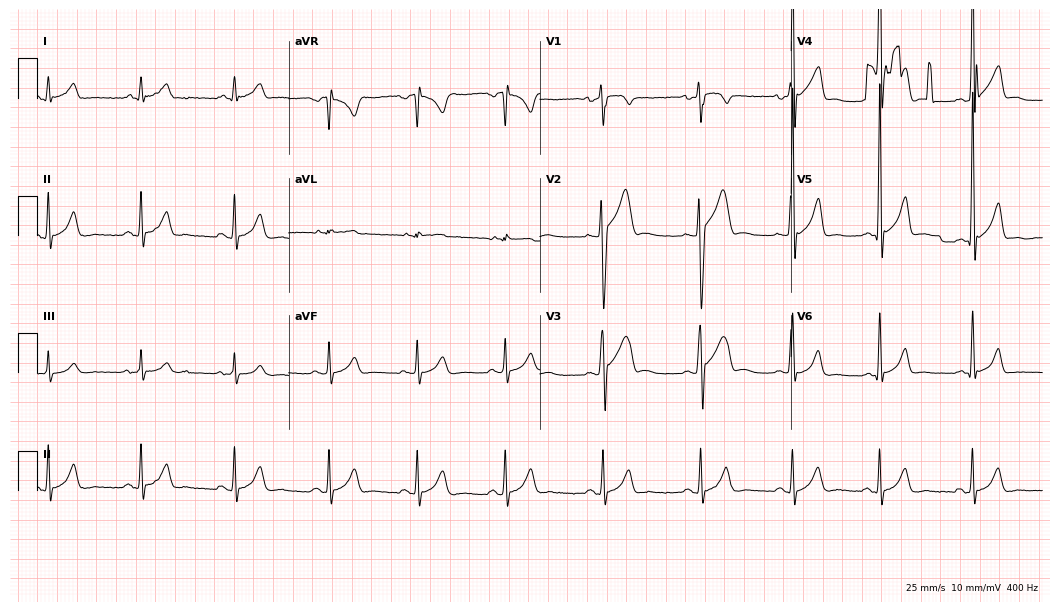
Resting 12-lead electrocardiogram (10.2-second recording at 400 Hz). Patient: a male, 21 years old. None of these six findings is recorded: first-degree AV block, right bundle branch block (RBBB), left bundle branch block (LBBB), sinus bradycardia, atrial fibrillation (AF), sinus tachycardia. Other findings, if any, are not listed.